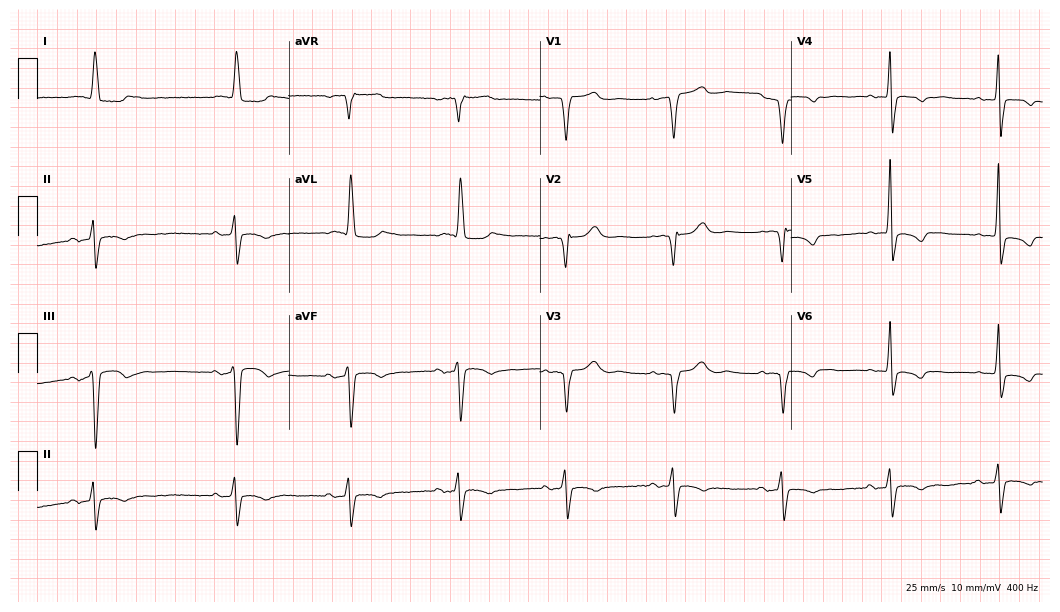
ECG (10.2-second recording at 400 Hz) — a female patient, 84 years old. Screened for six findings — first-degree AV block, right bundle branch block (RBBB), left bundle branch block (LBBB), sinus bradycardia, atrial fibrillation (AF), sinus tachycardia — none is recorded.